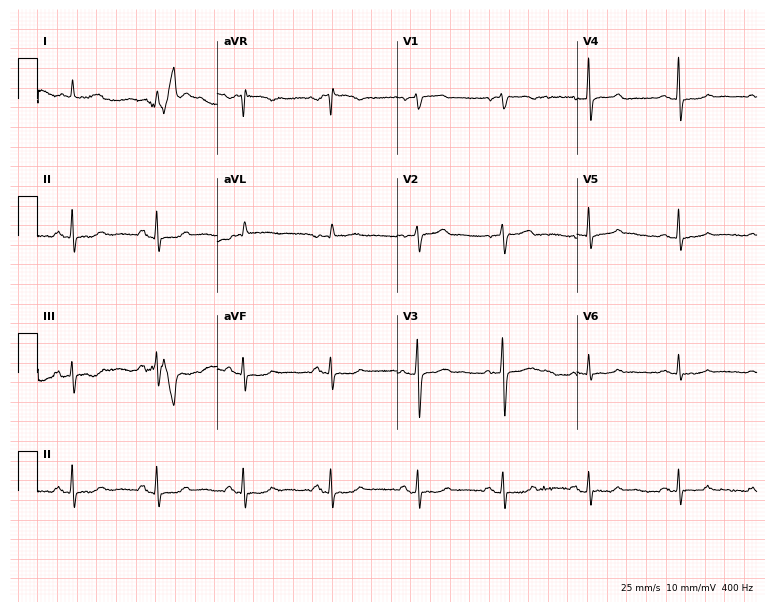
Resting 12-lead electrocardiogram (7.3-second recording at 400 Hz). Patient: a 72-year-old woman. Read as a normal ECG.